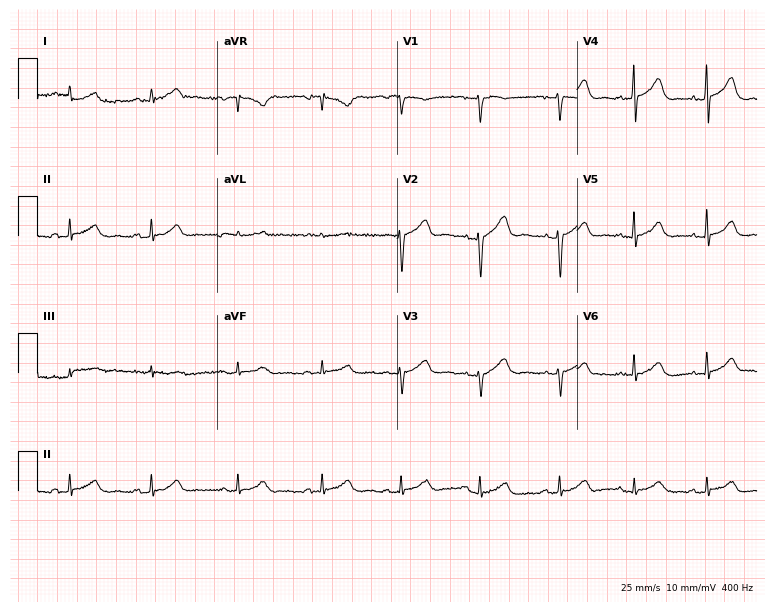
12-lead ECG from a female patient, 41 years old. Screened for six findings — first-degree AV block, right bundle branch block, left bundle branch block, sinus bradycardia, atrial fibrillation, sinus tachycardia — none is recorded.